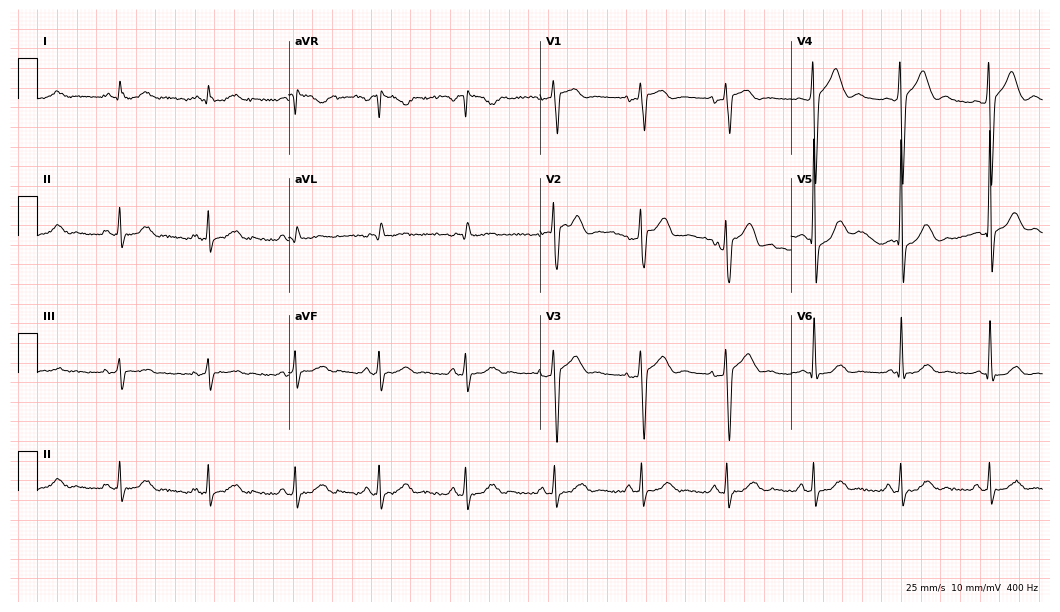
Electrocardiogram, a male patient, 40 years old. Overall reading on record: normal ECG.